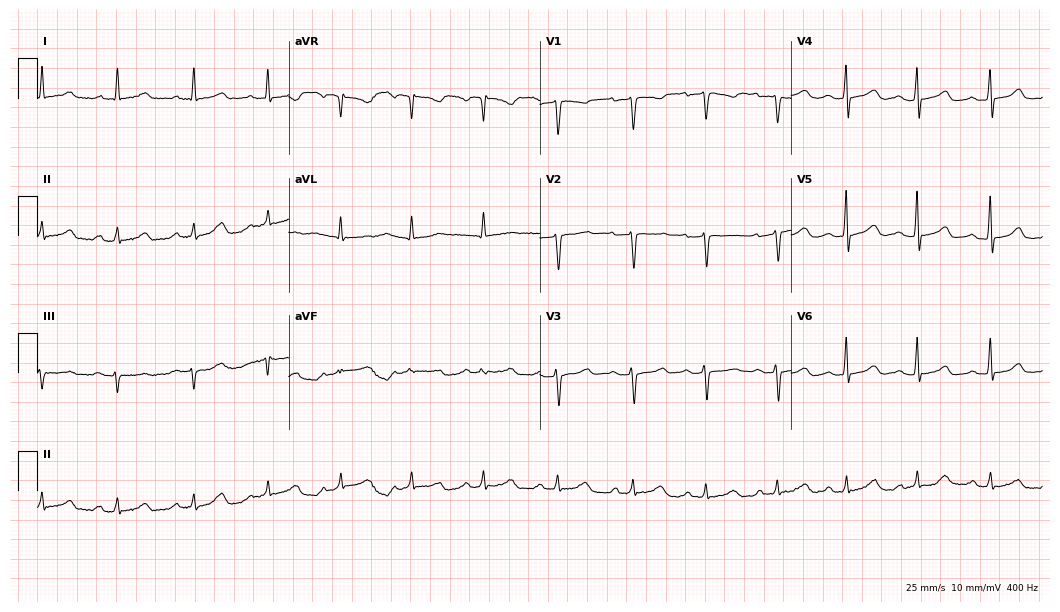
Standard 12-lead ECG recorded from a woman, 49 years old. Read as a normal ECG.